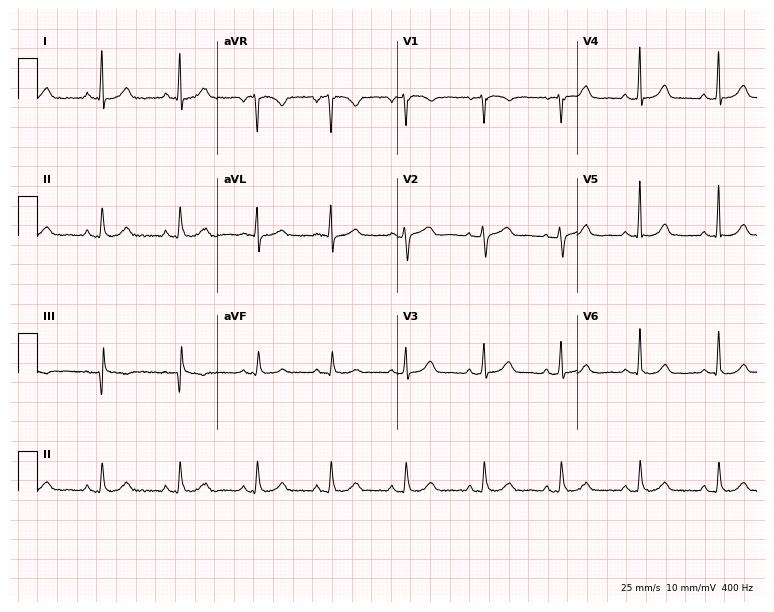
Electrocardiogram, a 69-year-old female. Overall reading on record: normal ECG.